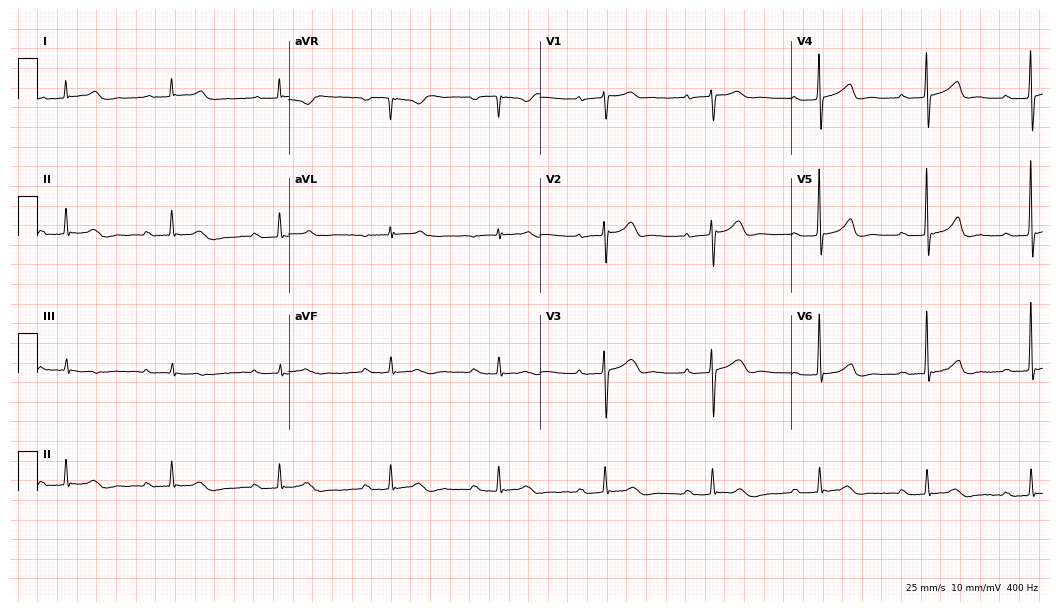
12-lead ECG from a male patient, 78 years old. Screened for six findings — first-degree AV block, right bundle branch block (RBBB), left bundle branch block (LBBB), sinus bradycardia, atrial fibrillation (AF), sinus tachycardia — none is recorded.